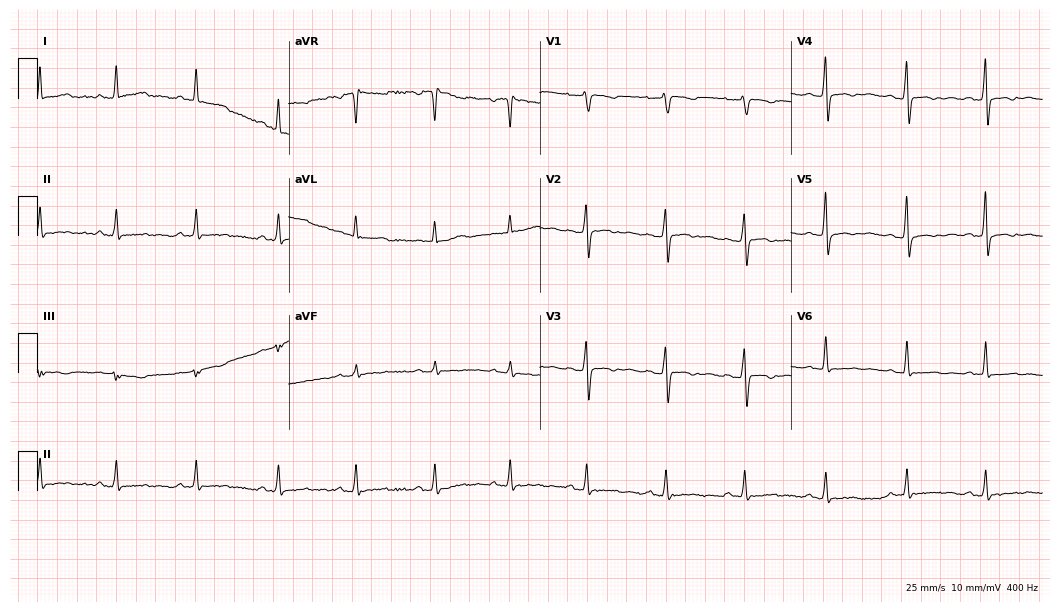
Resting 12-lead electrocardiogram (10.2-second recording at 400 Hz). Patient: a 40-year-old female. None of these six findings is recorded: first-degree AV block, right bundle branch block, left bundle branch block, sinus bradycardia, atrial fibrillation, sinus tachycardia. Findings outside these six are not listed.